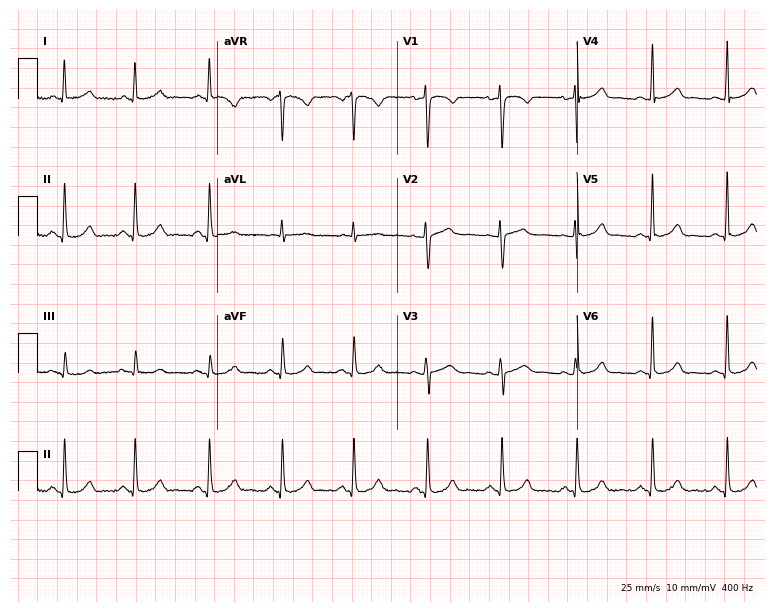
12-lead ECG from a 43-year-old female patient. Recorded interpretation: within normal limits.